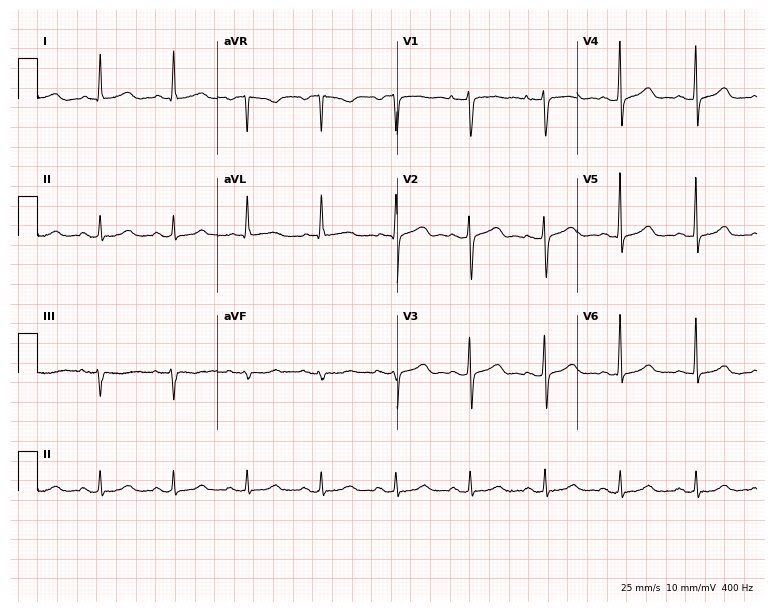
Standard 12-lead ECG recorded from a 74-year-old female patient. Read as a normal ECG.